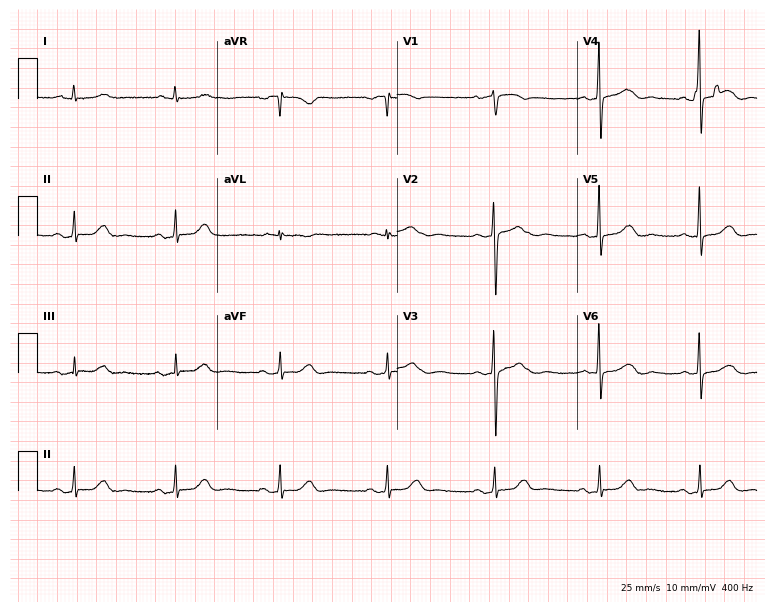
Electrocardiogram, a woman, 67 years old. Overall reading on record: normal ECG.